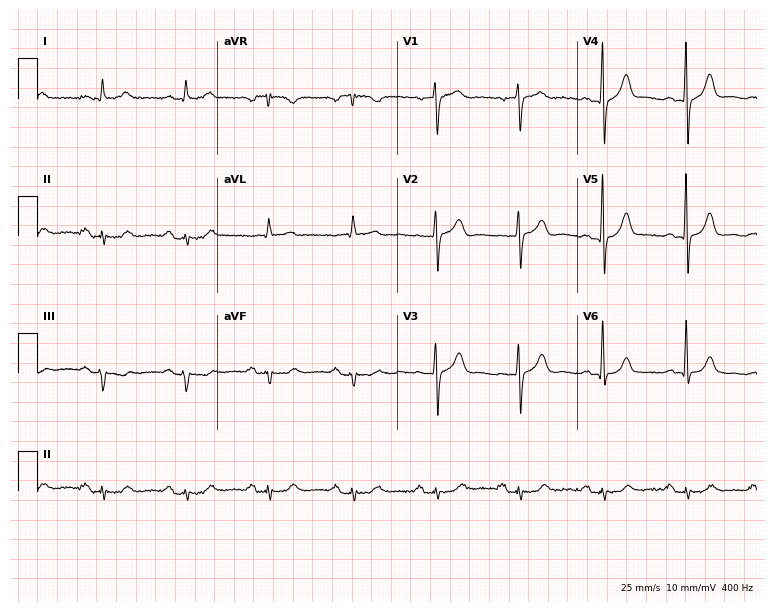
ECG (7.3-second recording at 400 Hz) — an 84-year-old man. Screened for six findings — first-degree AV block, right bundle branch block, left bundle branch block, sinus bradycardia, atrial fibrillation, sinus tachycardia — none is recorded. Only these six findings were labelled.